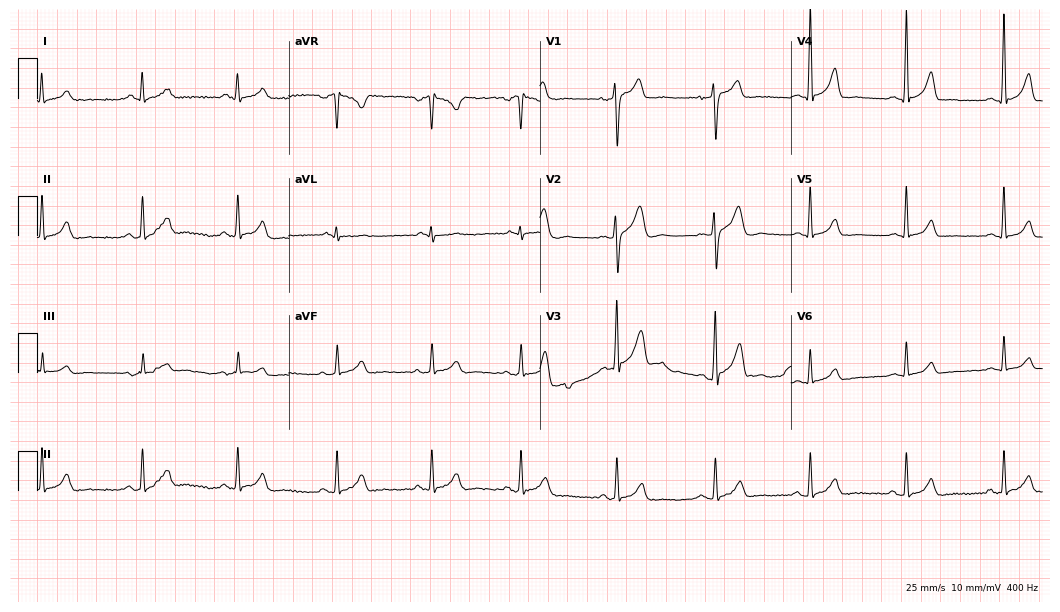
12-lead ECG from a 38-year-old male. Screened for six findings — first-degree AV block, right bundle branch block, left bundle branch block, sinus bradycardia, atrial fibrillation, sinus tachycardia — none is recorded.